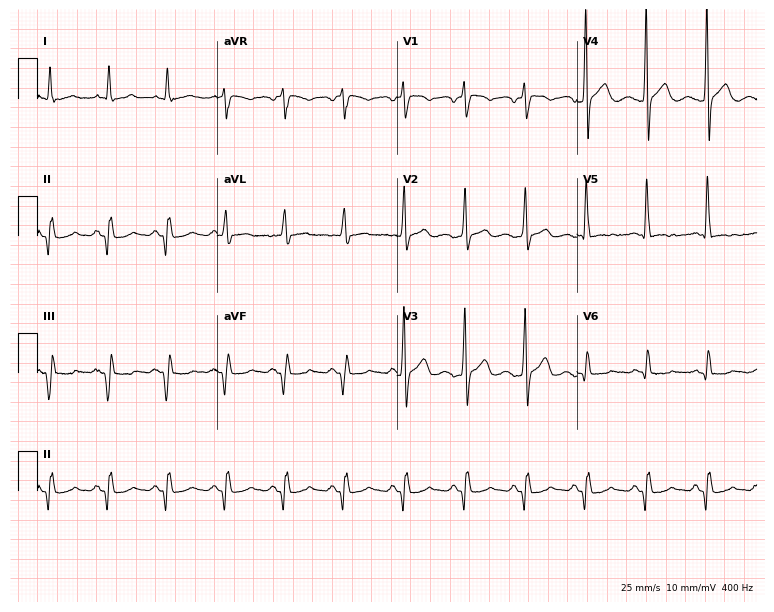
Electrocardiogram, a male, 42 years old. Of the six screened findings (first-degree AV block, right bundle branch block, left bundle branch block, sinus bradycardia, atrial fibrillation, sinus tachycardia), none is recorded.